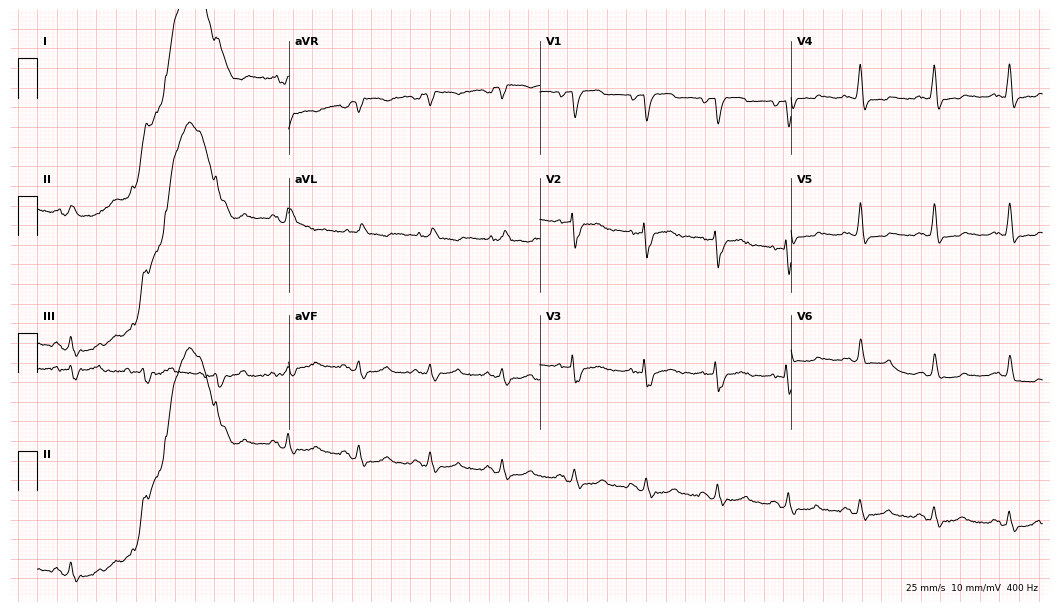
12-lead ECG (10.2-second recording at 400 Hz) from a 45-year-old female patient. Screened for six findings — first-degree AV block, right bundle branch block (RBBB), left bundle branch block (LBBB), sinus bradycardia, atrial fibrillation (AF), sinus tachycardia — none is recorded. Only these six findings were labelled.